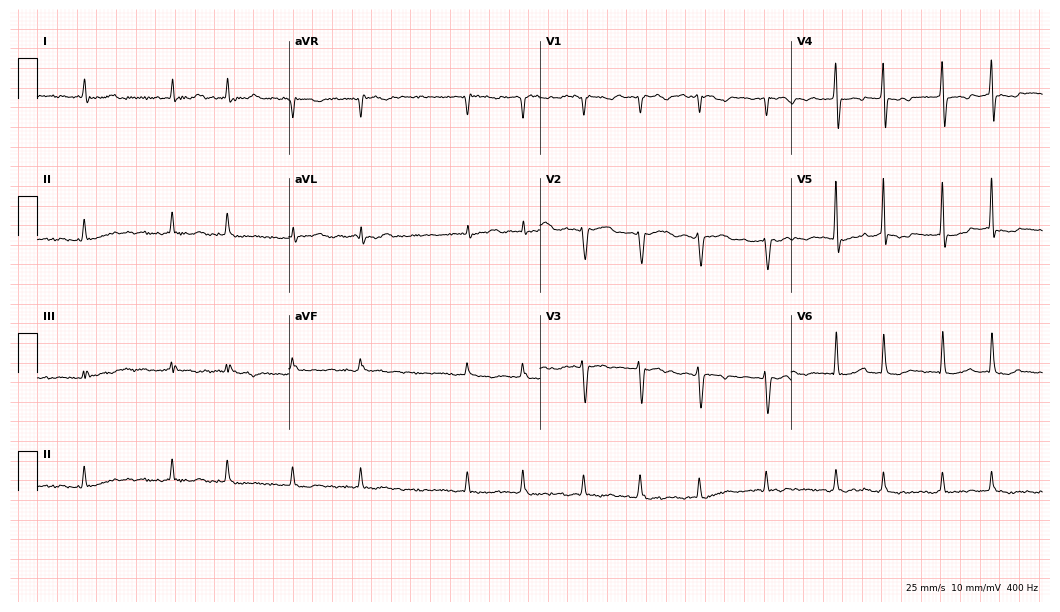
Standard 12-lead ECG recorded from a woman, 67 years old. The tracing shows atrial fibrillation (AF).